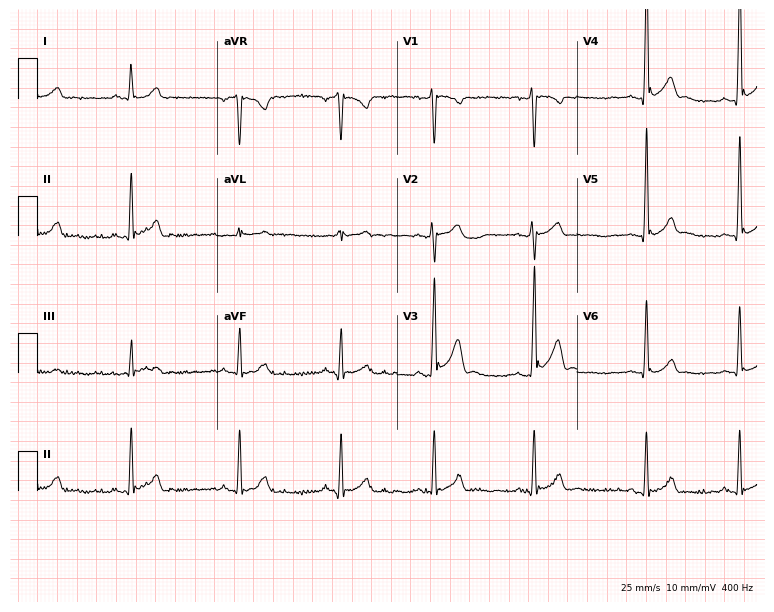
ECG — a man, 21 years old. Screened for six findings — first-degree AV block, right bundle branch block, left bundle branch block, sinus bradycardia, atrial fibrillation, sinus tachycardia — none is recorded.